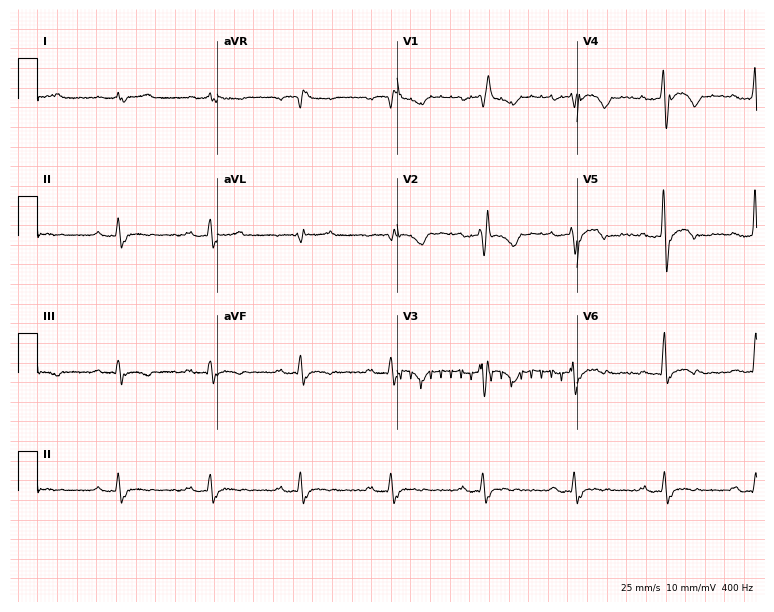
Electrocardiogram (7.3-second recording at 400 Hz), a female patient, 71 years old. Interpretation includes first-degree AV block, right bundle branch block (RBBB).